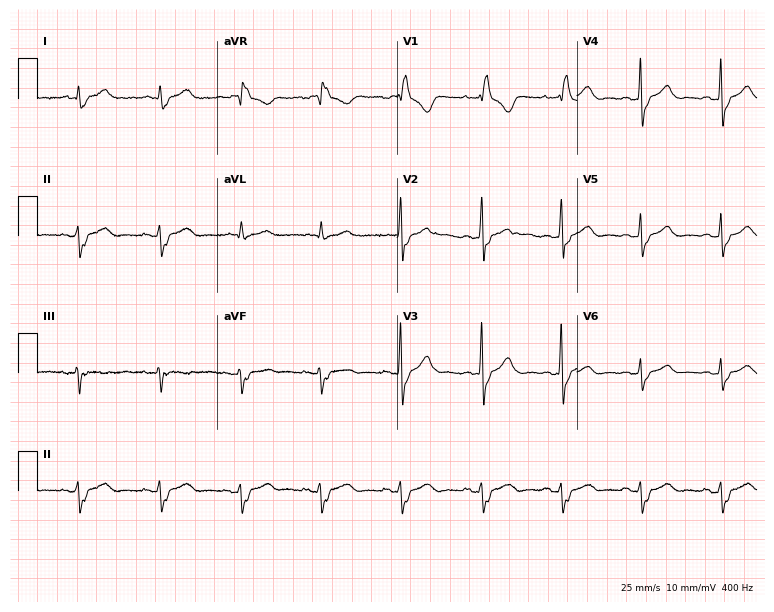
Electrocardiogram, a 46-year-old woman. Interpretation includes right bundle branch block.